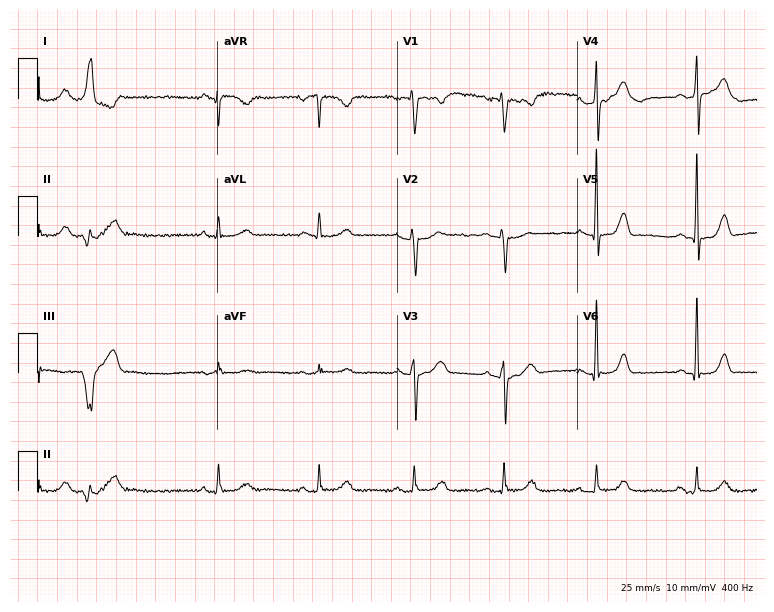
Resting 12-lead electrocardiogram (7.3-second recording at 400 Hz). Patient: a 51-year-old female. None of these six findings is recorded: first-degree AV block, right bundle branch block, left bundle branch block, sinus bradycardia, atrial fibrillation, sinus tachycardia. Findings outside these six are not listed.